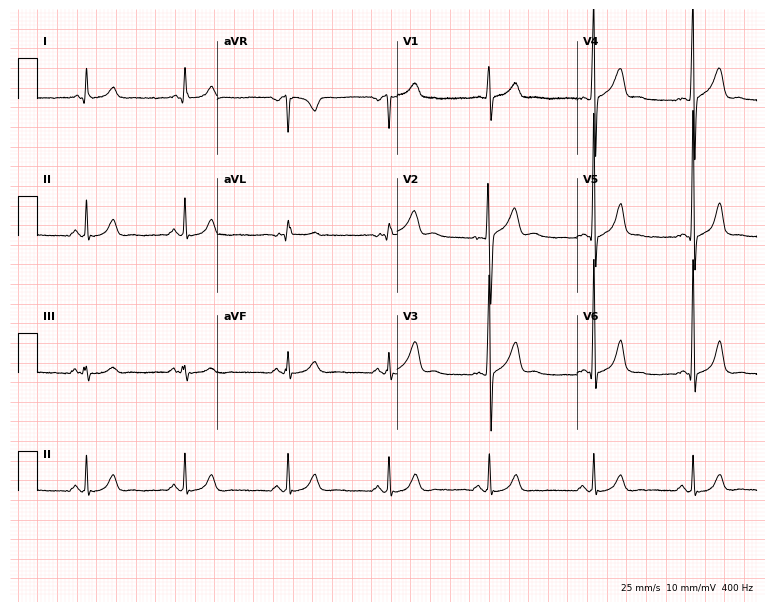
12-lead ECG from a 25-year-old male (7.3-second recording at 400 Hz). No first-degree AV block, right bundle branch block (RBBB), left bundle branch block (LBBB), sinus bradycardia, atrial fibrillation (AF) or sinus tachycardia recorded for this tracing.